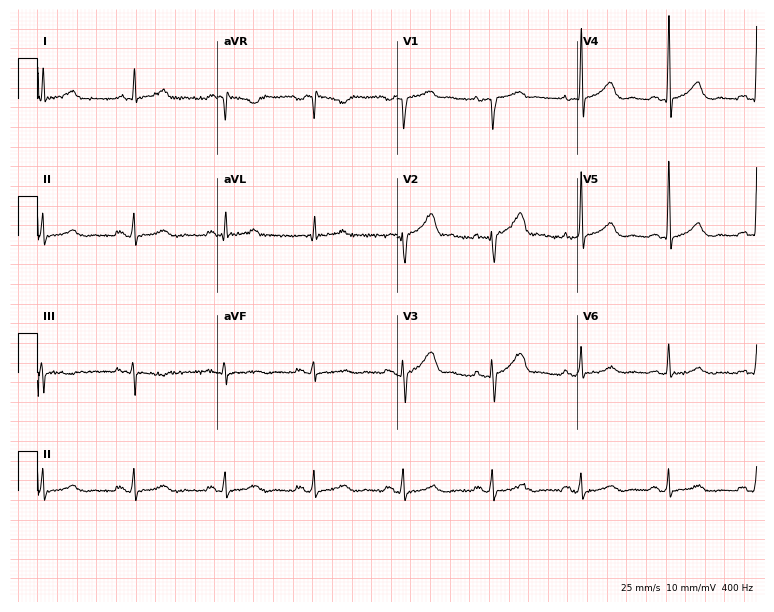
Resting 12-lead electrocardiogram. Patient: a 65-year-old male. None of these six findings is recorded: first-degree AV block, right bundle branch block, left bundle branch block, sinus bradycardia, atrial fibrillation, sinus tachycardia. Findings outside these six are not listed.